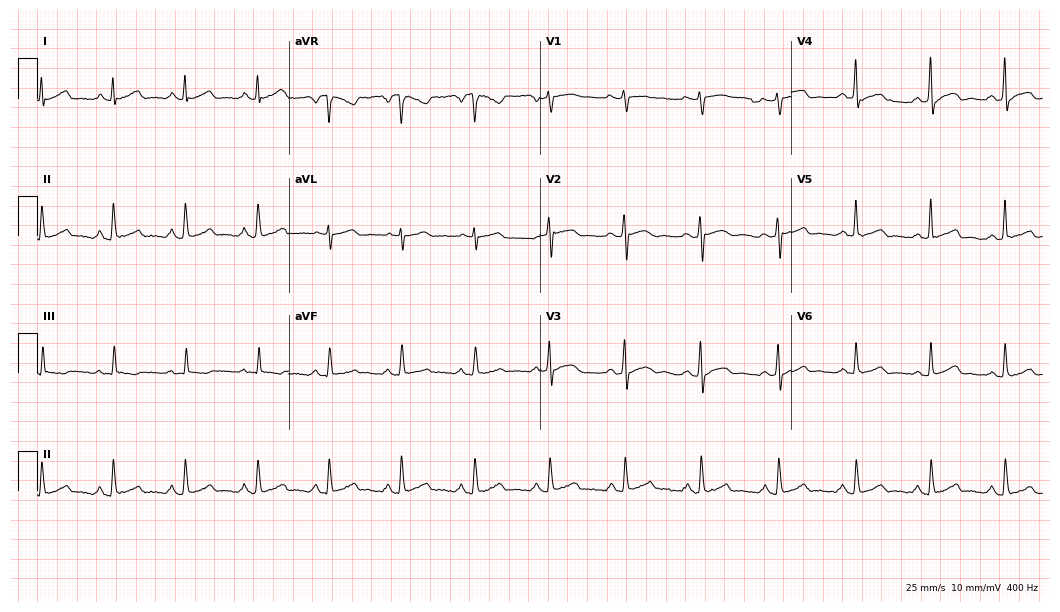
Electrocardiogram (10.2-second recording at 400 Hz), a male, 45 years old. Overall reading on record: normal ECG.